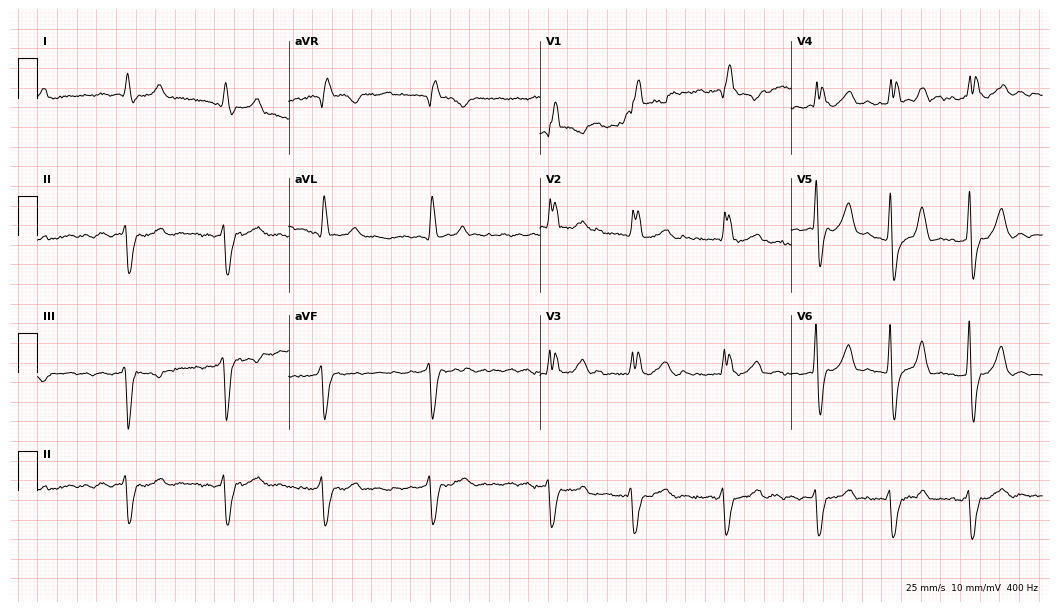
ECG (10.2-second recording at 400 Hz) — a 74-year-old male patient. Screened for six findings — first-degree AV block, right bundle branch block (RBBB), left bundle branch block (LBBB), sinus bradycardia, atrial fibrillation (AF), sinus tachycardia — none is recorded. Other findings, if any, are not listed.